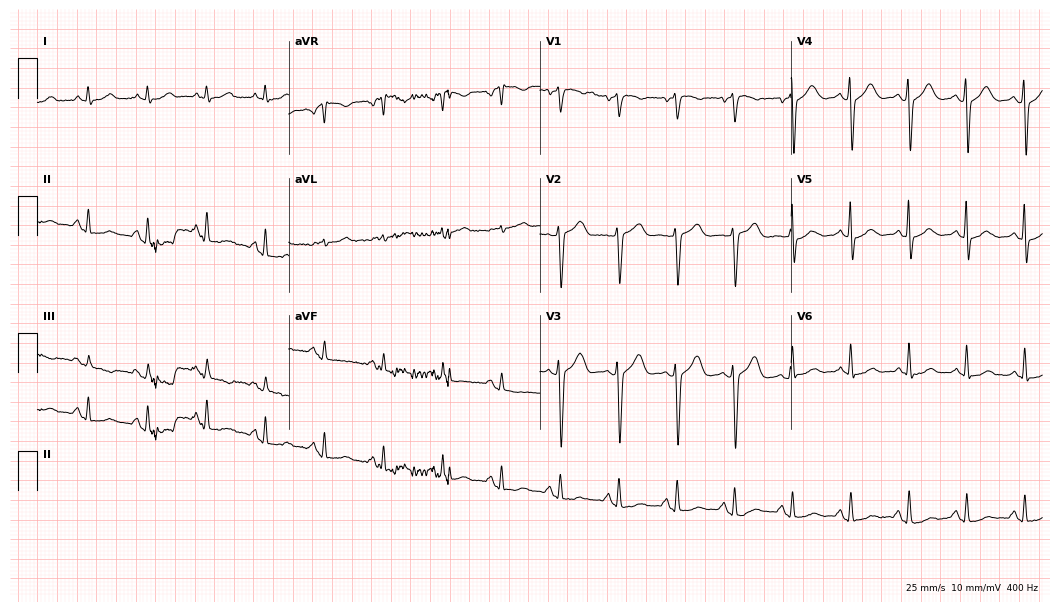
12-lead ECG from a female patient, 64 years old. No first-degree AV block, right bundle branch block (RBBB), left bundle branch block (LBBB), sinus bradycardia, atrial fibrillation (AF) or sinus tachycardia recorded for this tracing. Findings outside these six are not listed.